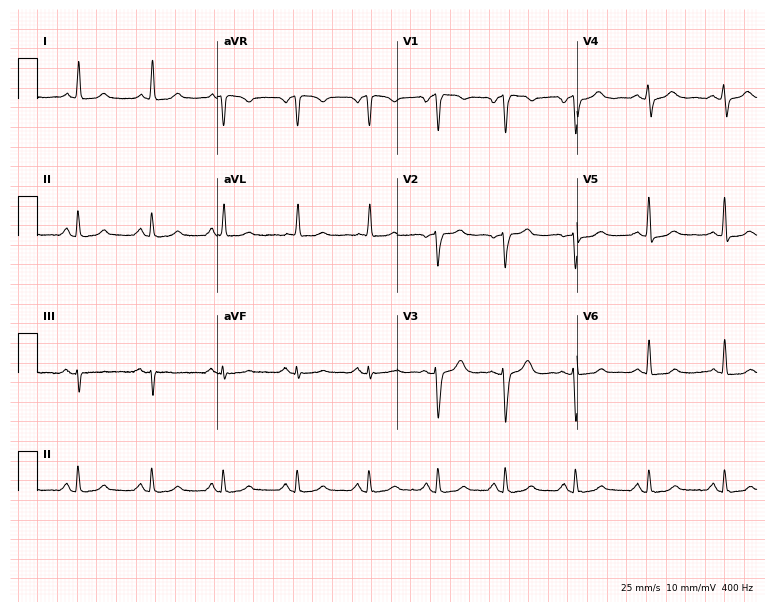
ECG (7.3-second recording at 400 Hz) — a 52-year-old woman. Labelled as a normal ECG.